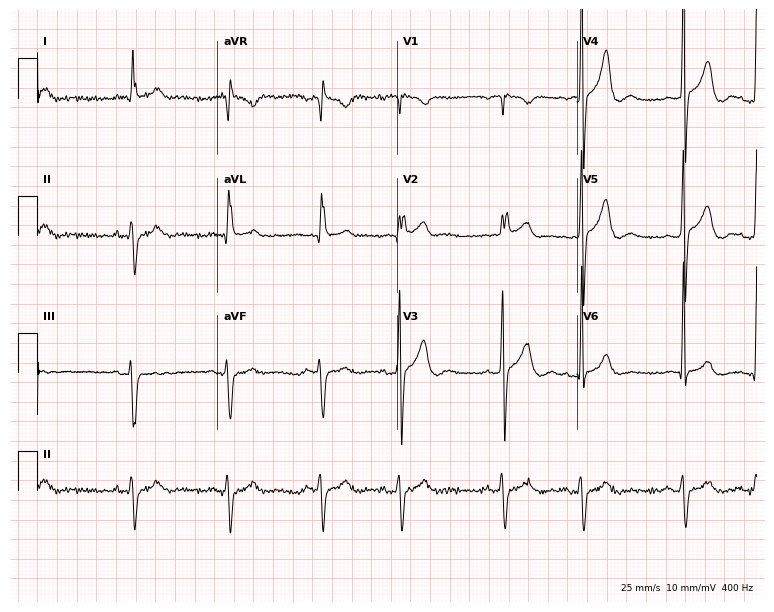
Standard 12-lead ECG recorded from a 68-year-old male patient. None of these six findings is recorded: first-degree AV block, right bundle branch block (RBBB), left bundle branch block (LBBB), sinus bradycardia, atrial fibrillation (AF), sinus tachycardia.